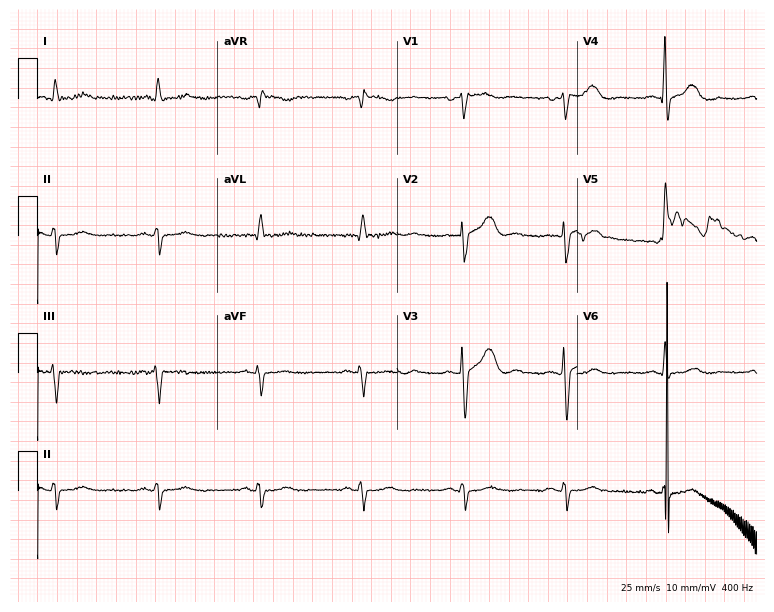
Electrocardiogram (7.3-second recording at 400 Hz), a 65-year-old male. Of the six screened findings (first-degree AV block, right bundle branch block (RBBB), left bundle branch block (LBBB), sinus bradycardia, atrial fibrillation (AF), sinus tachycardia), none is recorded. Only these six findings were labelled.